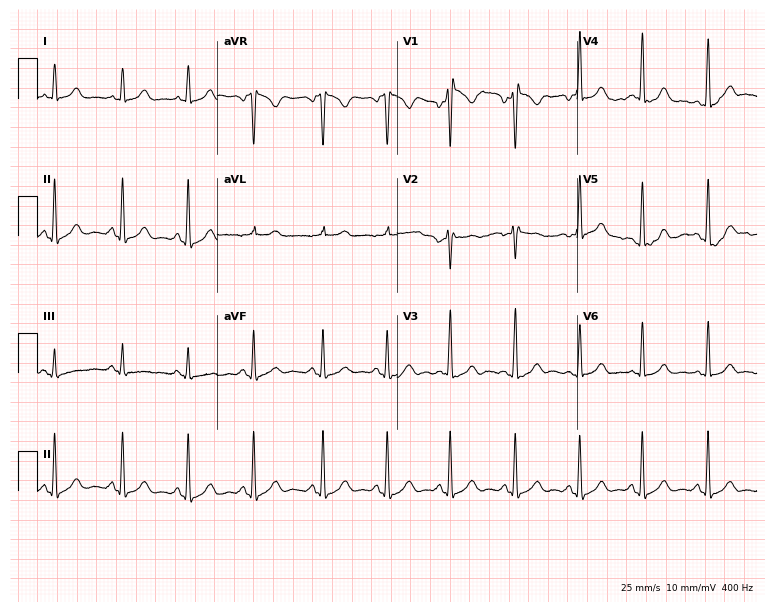
12-lead ECG from a female, 34 years old (7.3-second recording at 400 Hz). Recorded interpretation: within normal limits.